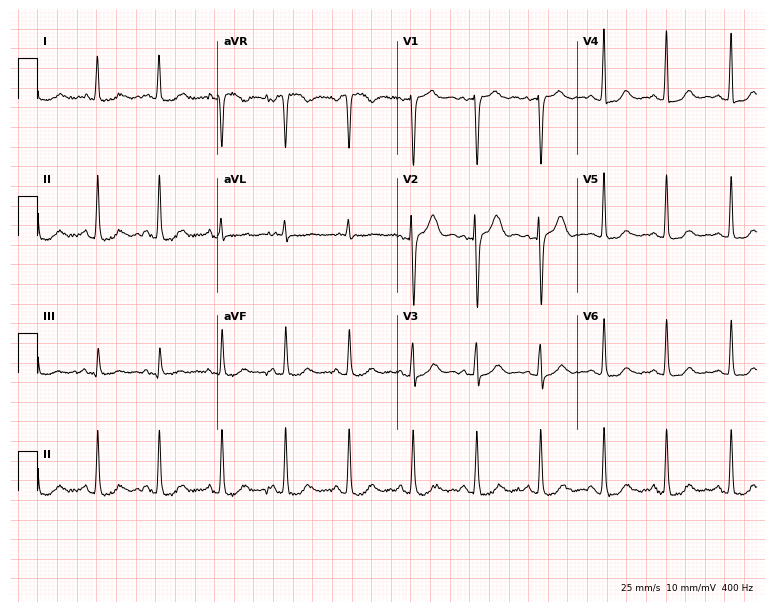
Electrocardiogram, a 42-year-old female patient. Overall reading on record: normal ECG.